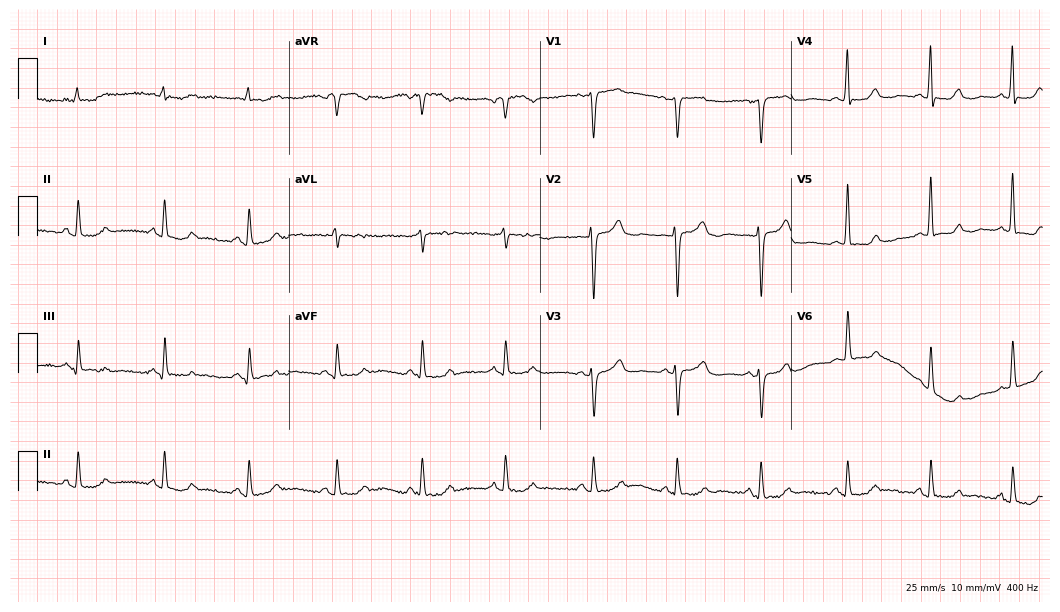
ECG (10.2-second recording at 400 Hz) — a 75-year-old female patient. Labelled as a normal ECG.